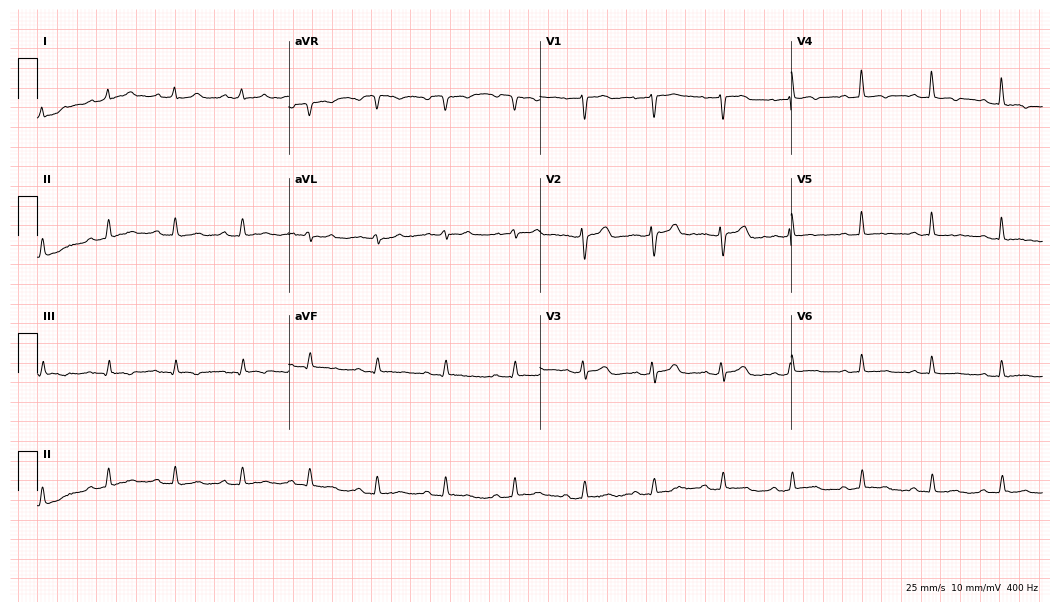
Standard 12-lead ECG recorded from a 48-year-old woman (10.2-second recording at 400 Hz). None of these six findings is recorded: first-degree AV block, right bundle branch block, left bundle branch block, sinus bradycardia, atrial fibrillation, sinus tachycardia. Findings outside these six are not listed.